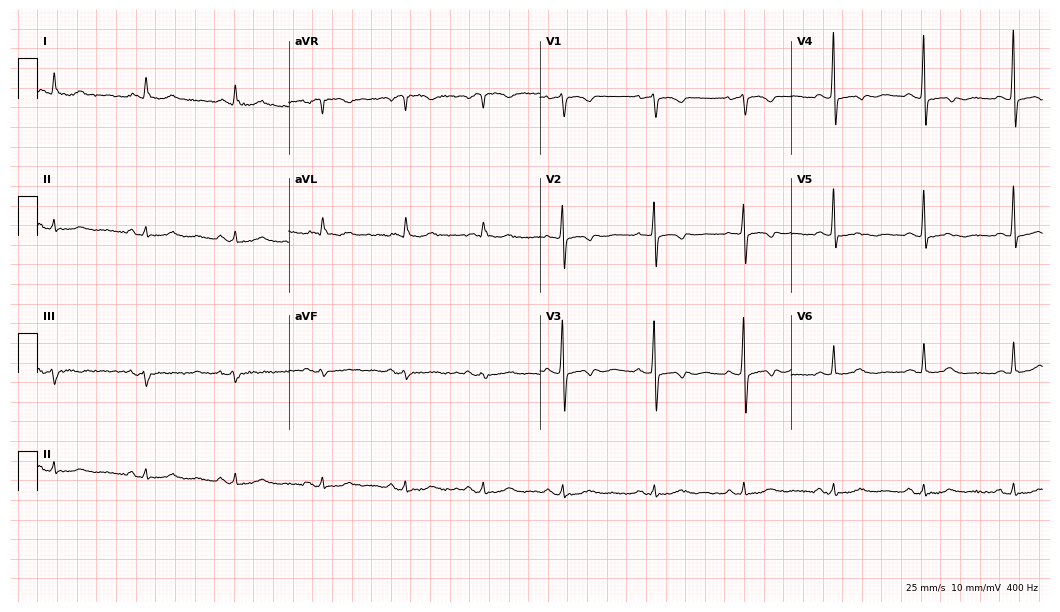
Electrocardiogram, a female patient, 83 years old. Of the six screened findings (first-degree AV block, right bundle branch block, left bundle branch block, sinus bradycardia, atrial fibrillation, sinus tachycardia), none is recorded. Findings outside these six are not listed.